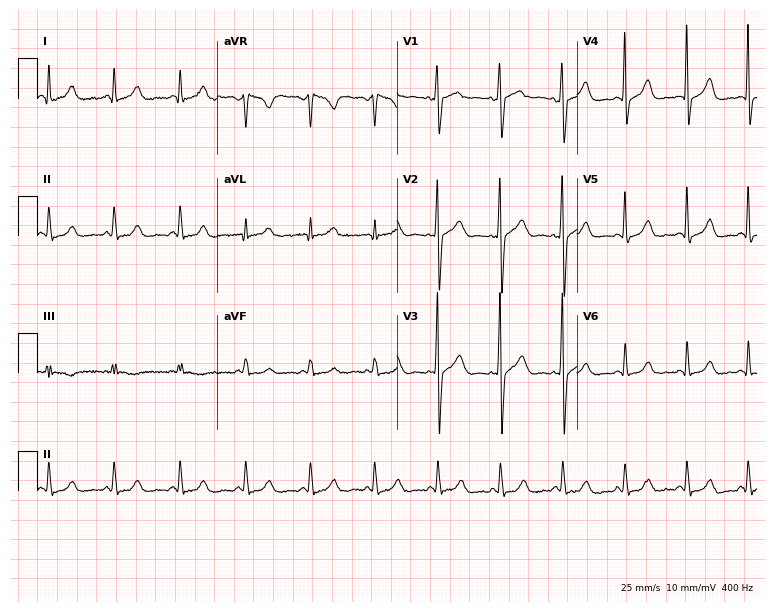
ECG — a female patient, 40 years old. Labelled as a normal ECG.